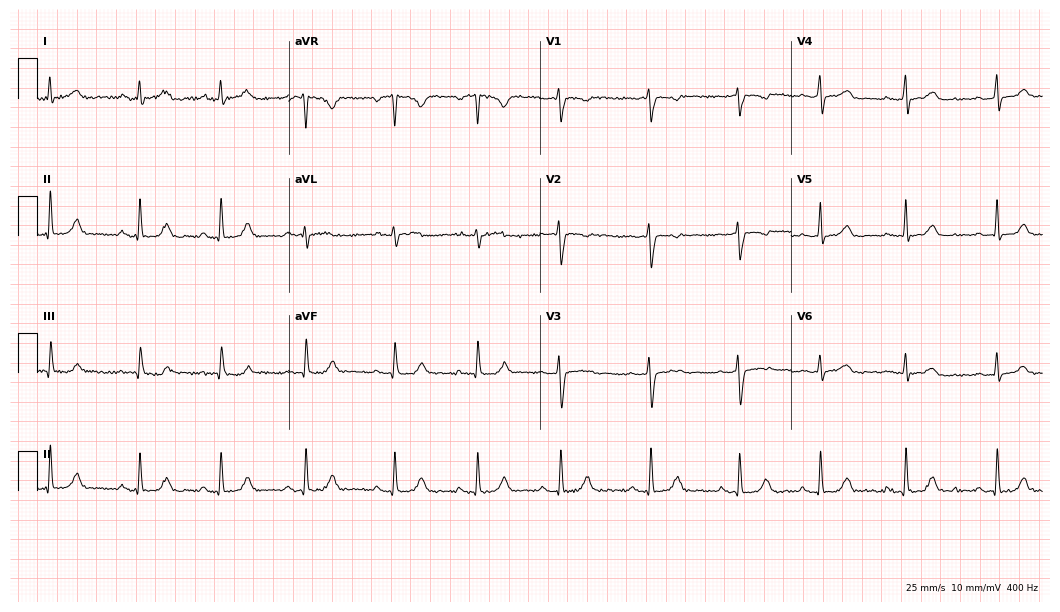
Electrocardiogram (10.2-second recording at 400 Hz), a female, 22 years old. Of the six screened findings (first-degree AV block, right bundle branch block (RBBB), left bundle branch block (LBBB), sinus bradycardia, atrial fibrillation (AF), sinus tachycardia), none is recorded. Findings outside these six are not listed.